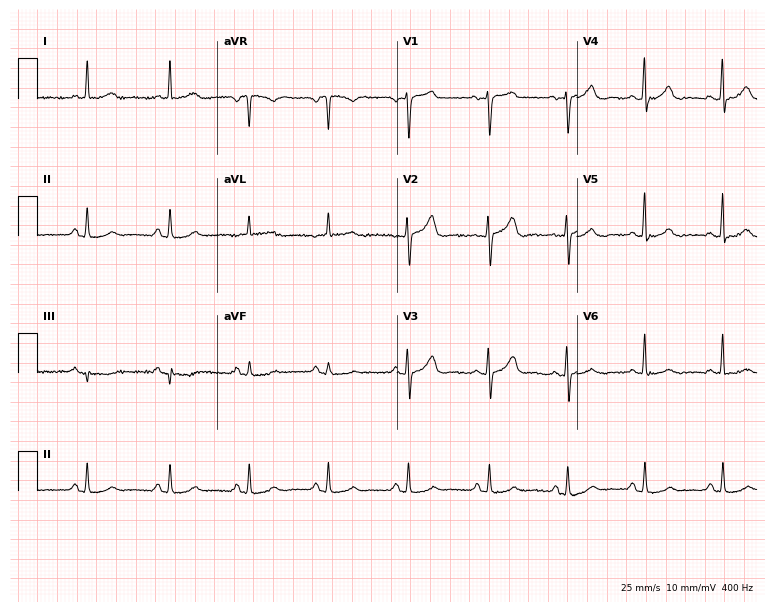
ECG (7.3-second recording at 400 Hz) — a woman, 68 years old. Labelled as a normal ECG.